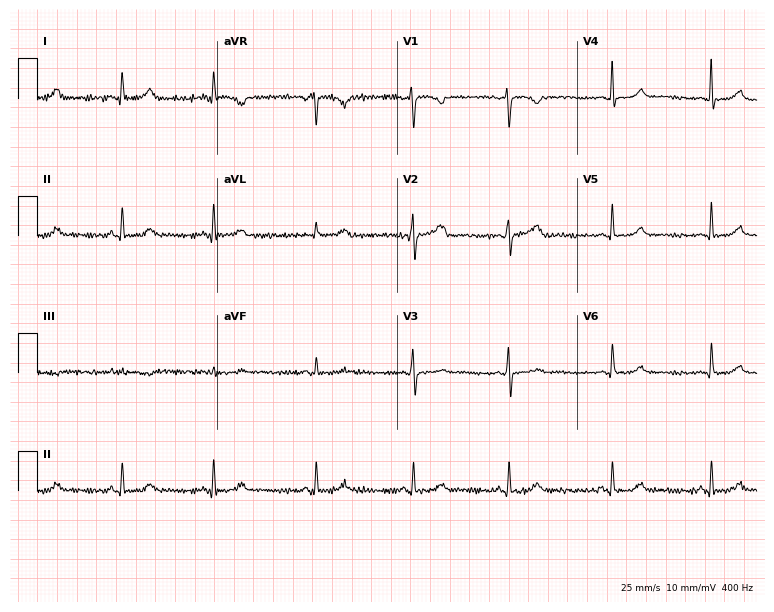
ECG (7.3-second recording at 400 Hz) — a female patient, 33 years old. Screened for six findings — first-degree AV block, right bundle branch block, left bundle branch block, sinus bradycardia, atrial fibrillation, sinus tachycardia — none is recorded.